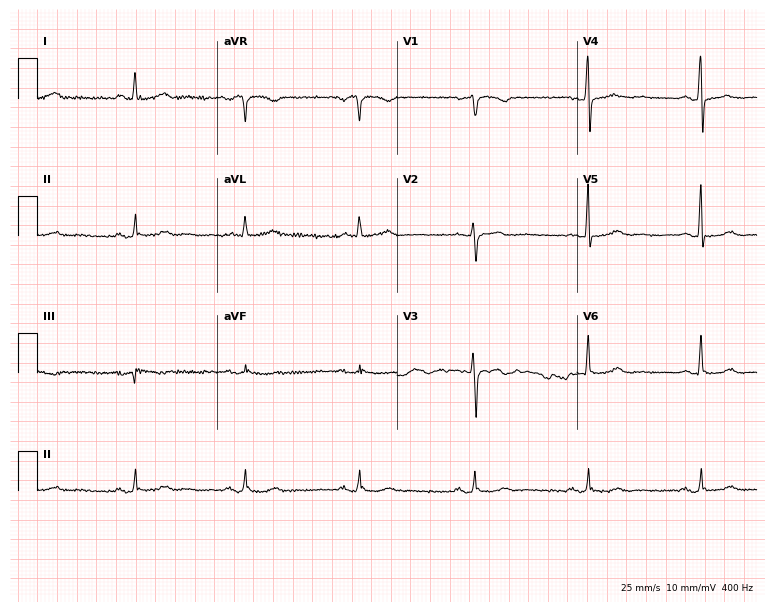
Standard 12-lead ECG recorded from a woman, 47 years old. None of these six findings is recorded: first-degree AV block, right bundle branch block (RBBB), left bundle branch block (LBBB), sinus bradycardia, atrial fibrillation (AF), sinus tachycardia. Only these six findings were labelled.